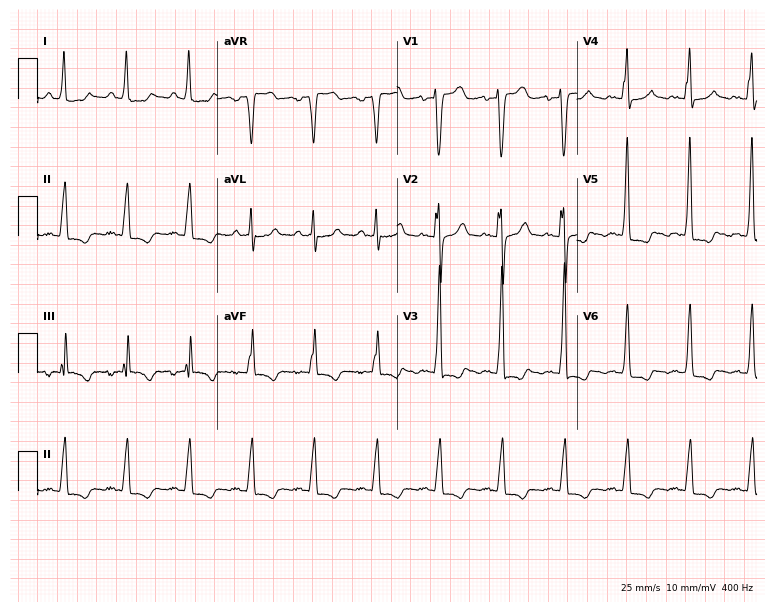
Standard 12-lead ECG recorded from a female patient, 68 years old. None of these six findings is recorded: first-degree AV block, right bundle branch block, left bundle branch block, sinus bradycardia, atrial fibrillation, sinus tachycardia.